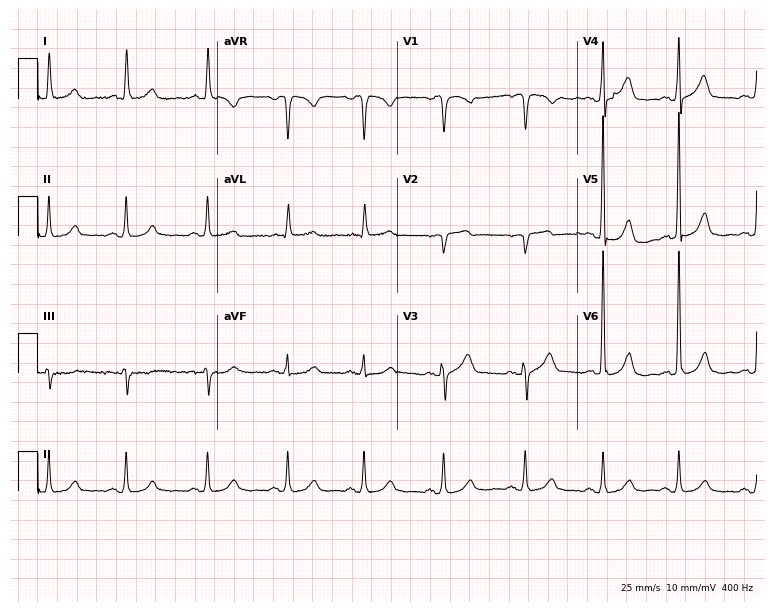
ECG — a 58-year-old female patient. Screened for six findings — first-degree AV block, right bundle branch block (RBBB), left bundle branch block (LBBB), sinus bradycardia, atrial fibrillation (AF), sinus tachycardia — none is recorded.